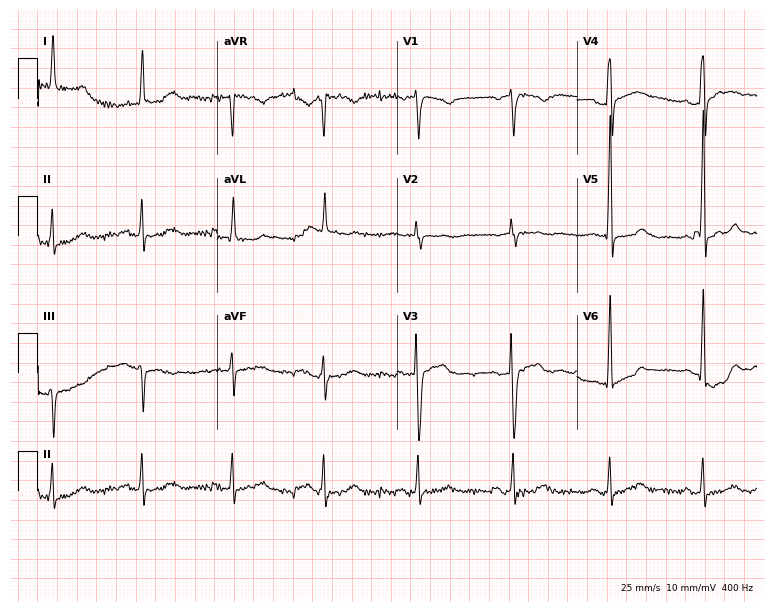
ECG — a male patient, 56 years old. Screened for six findings — first-degree AV block, right bundle branch block (RBBB), left bundle branch block (LBBB), sinus bradycardia, atrial fibrillation (AF), sinus tachycardia — none is recorded. Findings outside these six are not listed.